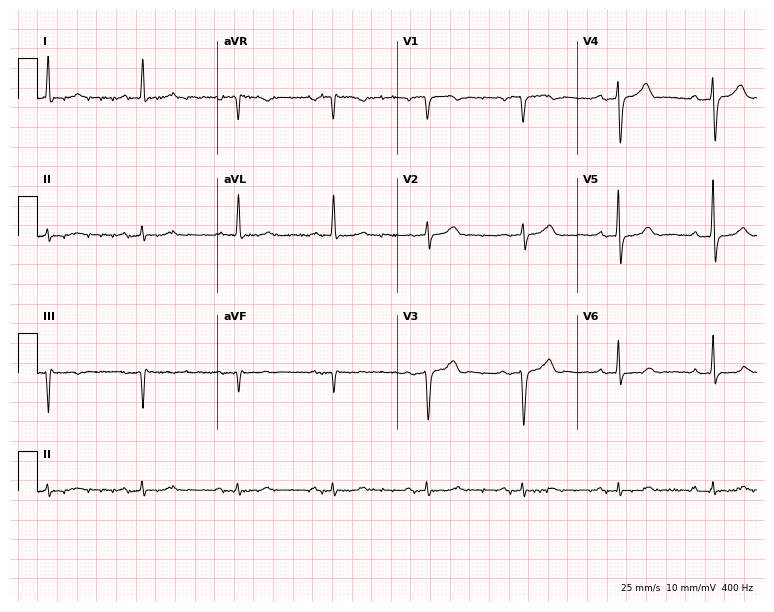
12-lead ECG from a male, 75 years old (7.3-second recording at 400 Hz). Recorded interpretation: within normal limits.